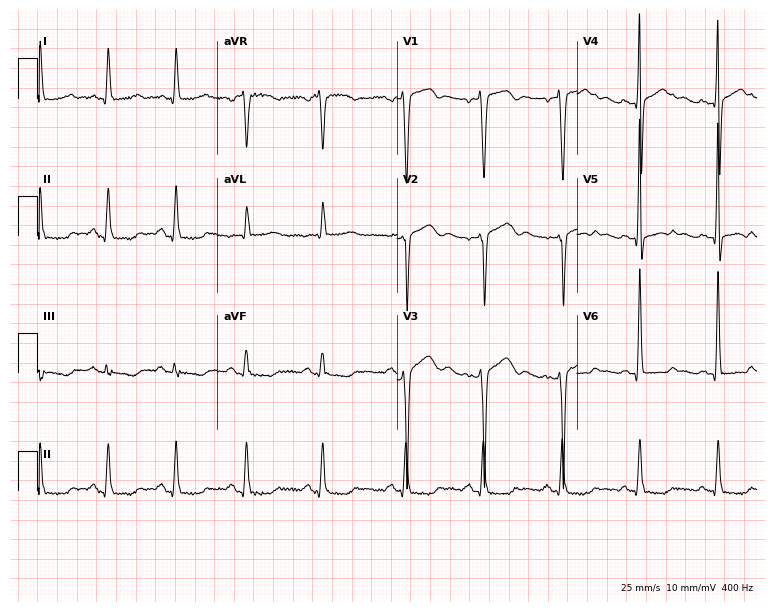
12-lead ECG (7.3-second recording at 400 Hz) from a 45-year-old woman. Screened for six findings — first-degree AV block, right bundle branch block (RBBB), left bundle branch block (LBBB), sinus bradycardia, atrial fibrillation (AF), sinus tachycardia — none is recorded. Only these six findings were labelled.